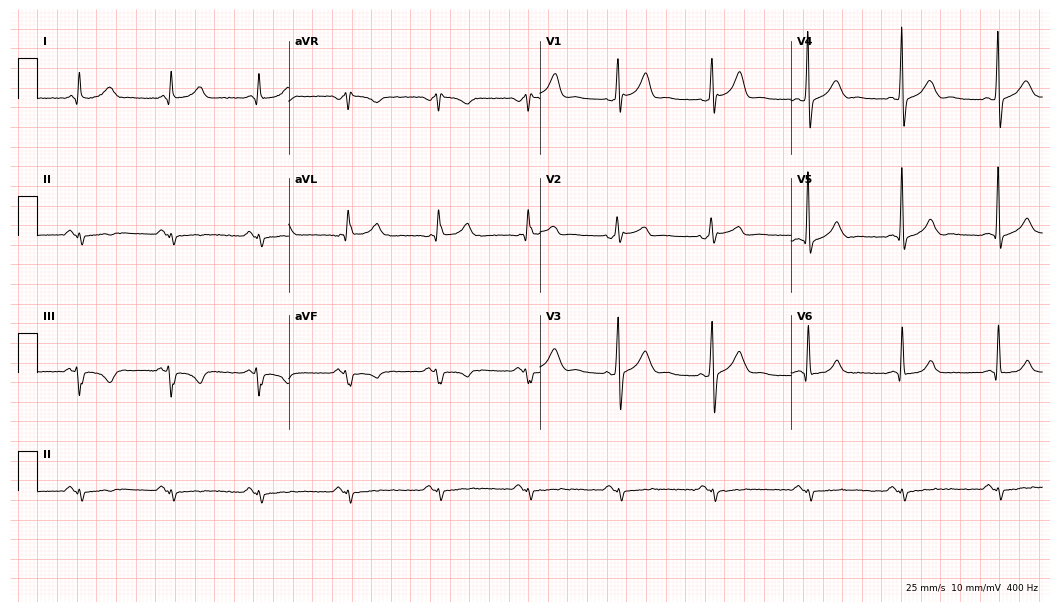
ECG (10.2-second recording at 400 Hz) — a 38-year-old man. Screened for six findings — first-degree AV block, right bundle branch block, left bundle branch block, sinus bradycardia, atrial fibrillation, sinus tachycardia — none is recorded. Only these six findings were labelled.